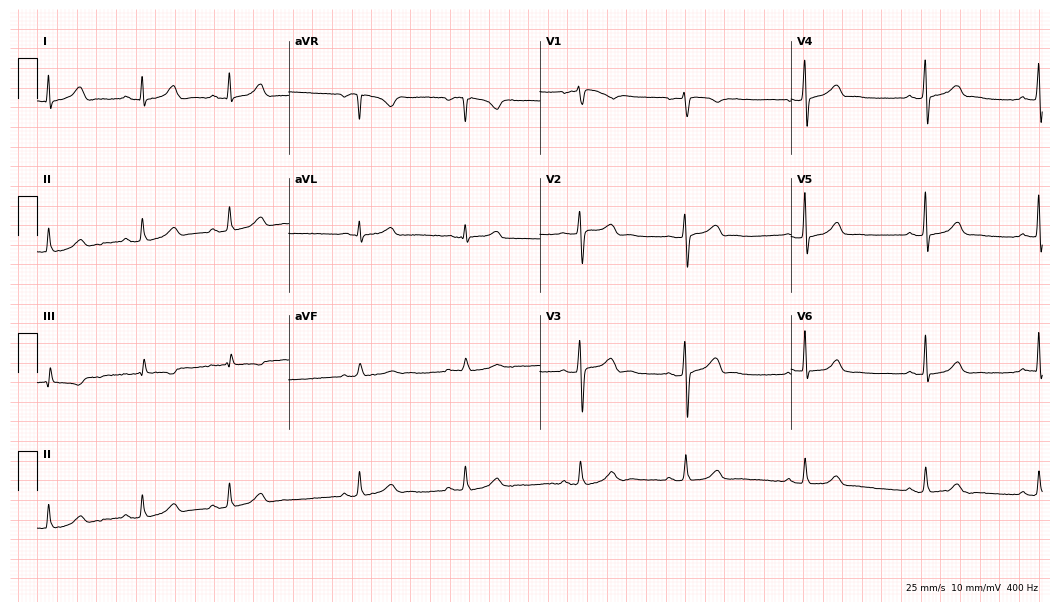
Standard 12-lead ECG recorded from a female, 32 years old (10.2-second recording at 400 Hz). Read as a normal ECG.